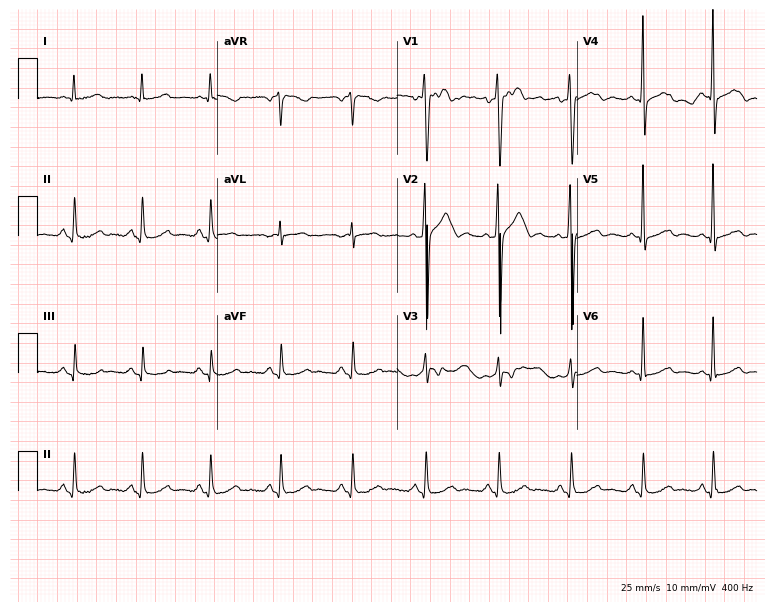
Electrocardiogram, a 48-year-old female. Overall reading on record: normal ECG.